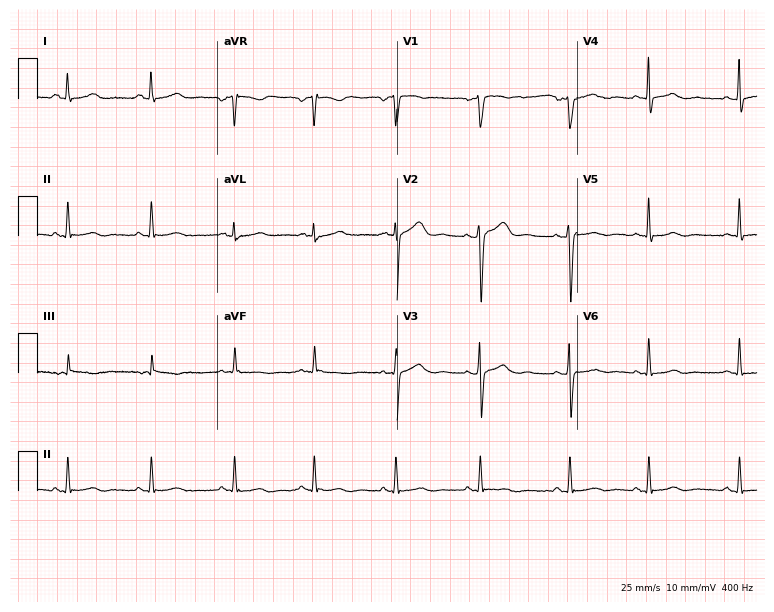
ECG — a 45-year-old female. Screened for six findings — first-degree AV block, right bundle branch block, left bundle branch block, sinus bradycardia, atrial fibrillation, sinus tachycardia — none is recorded. Other findings, if any, are not listed.